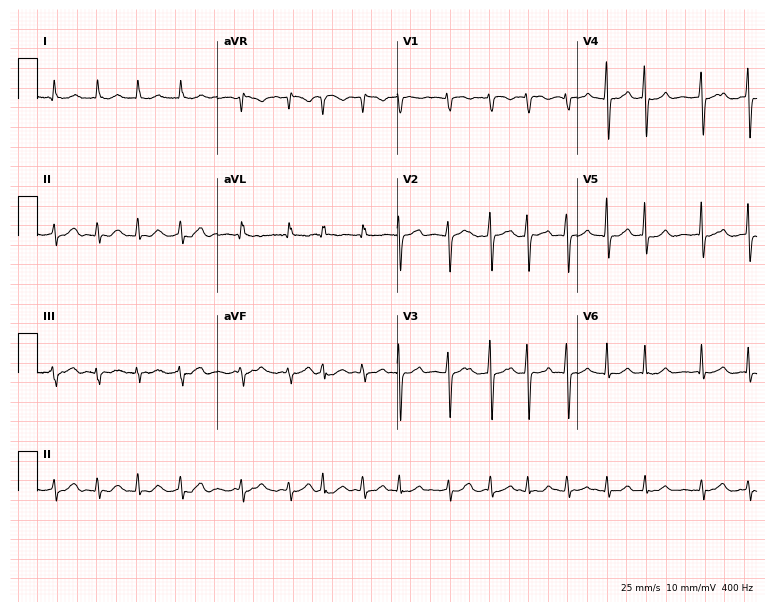
Electrocardiogram, a 72-year-old female. Interpretation includes atrial fibrillation.